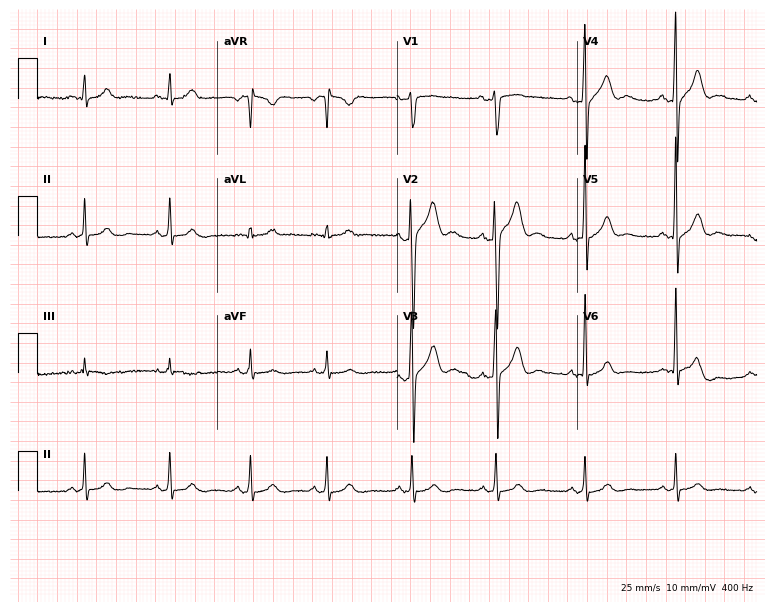
ECG (7.3-second recording at 400 Hz) — a male, 22 years old. Screened for six findings — first-degree AV block, right bundle branch block, left bundle branch block, sinus bradycardia, atrial fibrillation, sinus tachycardia — none is recorded.